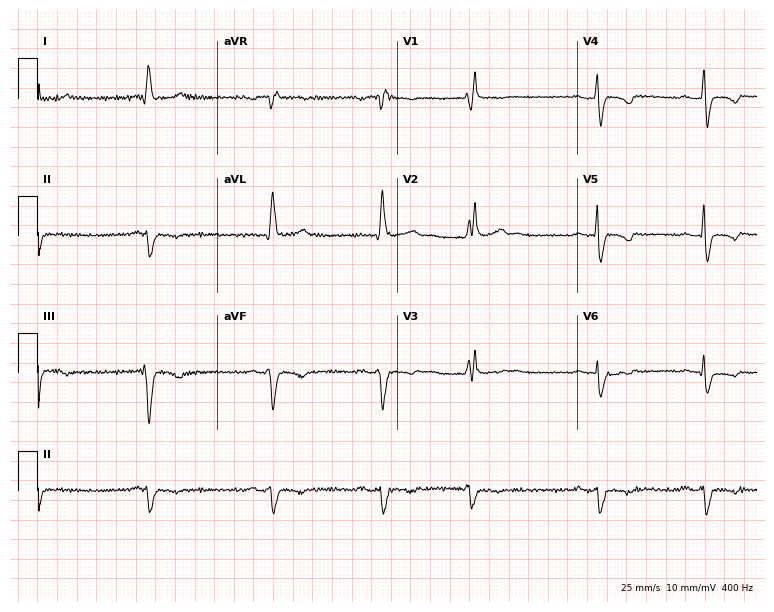
Resting 12-lead electrocardiogram. Patient: a woman, 61 years old. None of these six findings is recorded: first-degree AV block, right bundle branch block, left bundle branch block, sinus bradycardia, atrial fibrillation, sinus tachycardia.